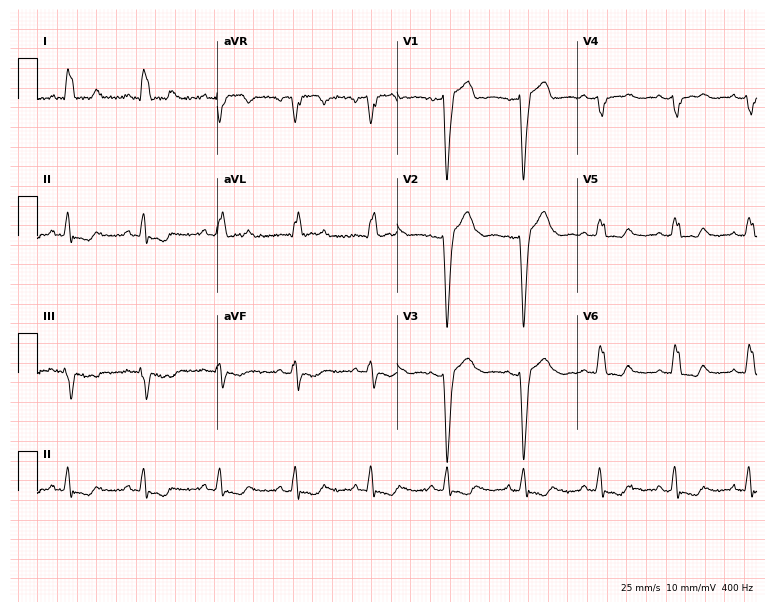
Resting 12-lead electrocardiogram. Patient: a woman, 47 years old. The tracing shows left bundle branch block (LBBB).